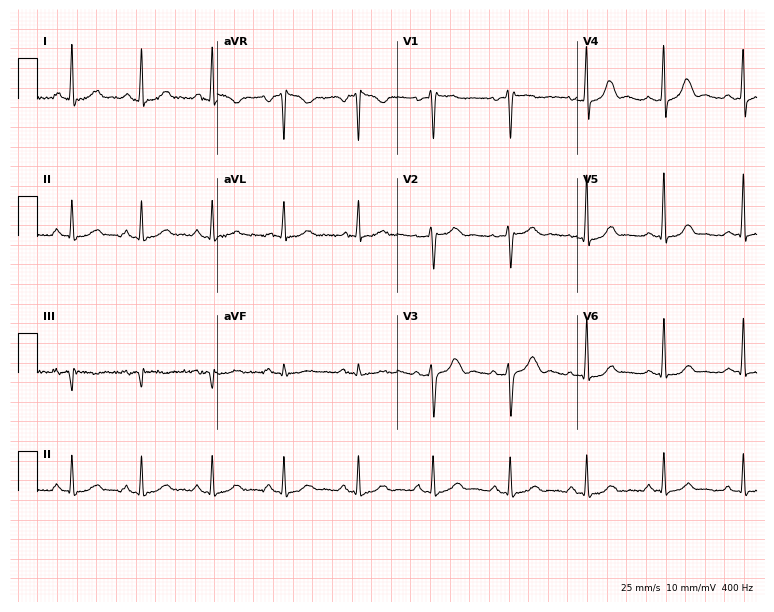
12-lead ECG from a female patient, 46 years old. Labelled as a normal ECG.